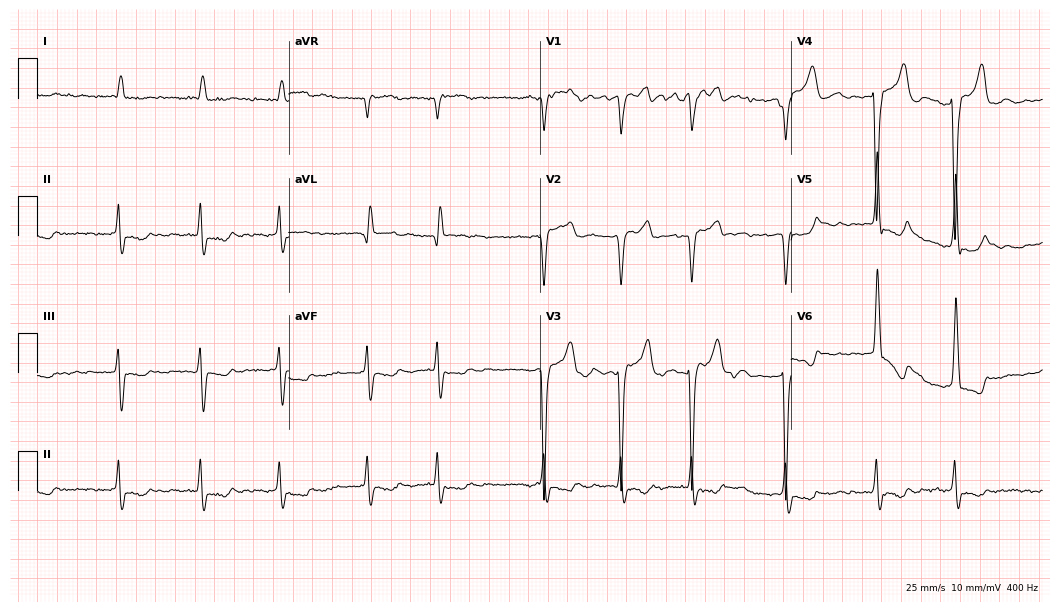
ECG — a woman, 83 years old. Findings include atrial fibrillation.